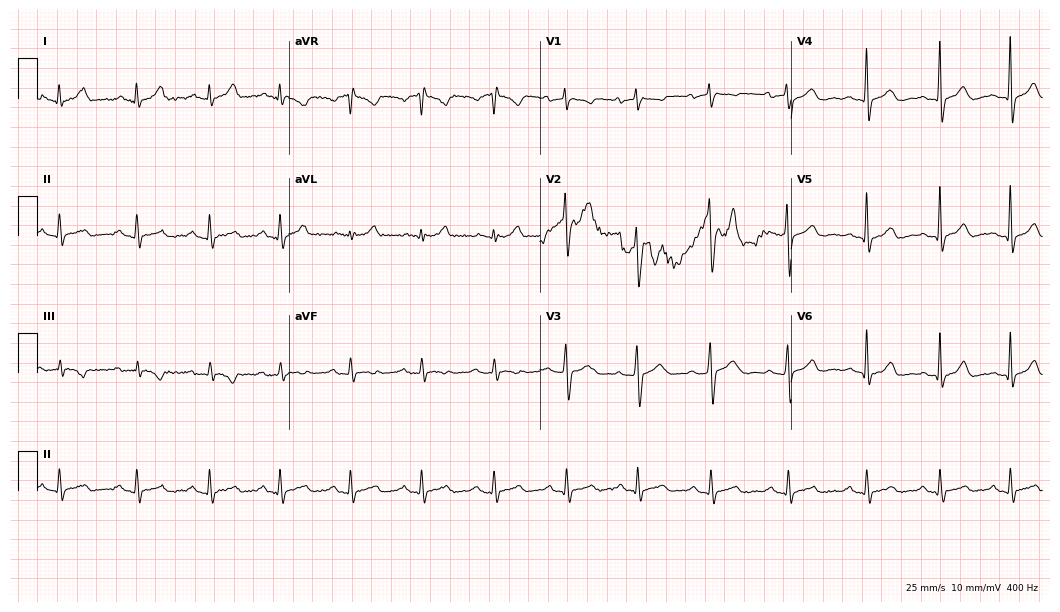
ECG — a male, 34 years old. Labelled as a normal ECG.